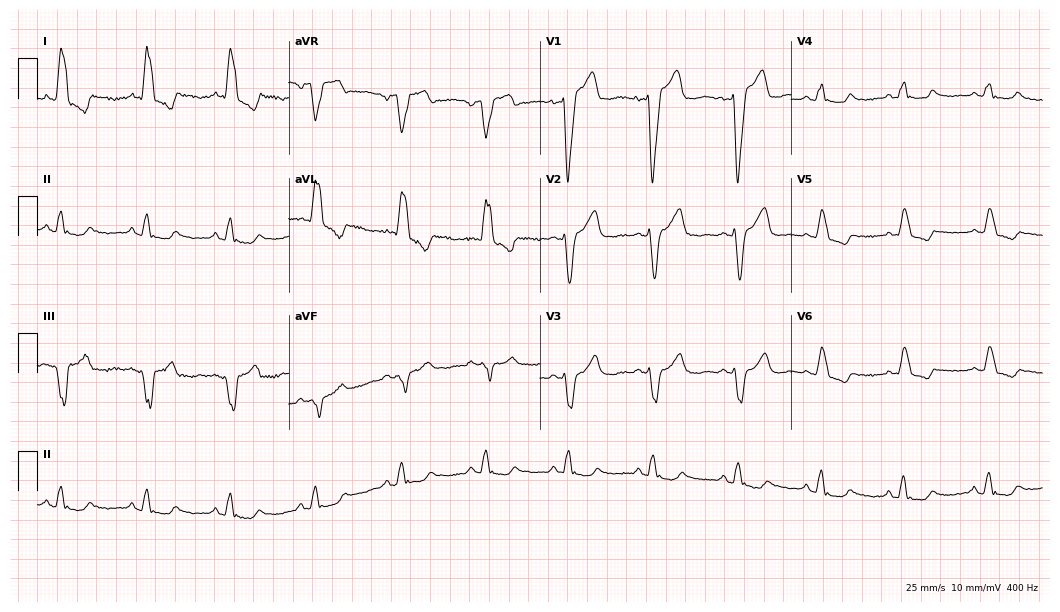
ECG — a female patient, 51 years old. Findings include left bundle branch block (LBBB).